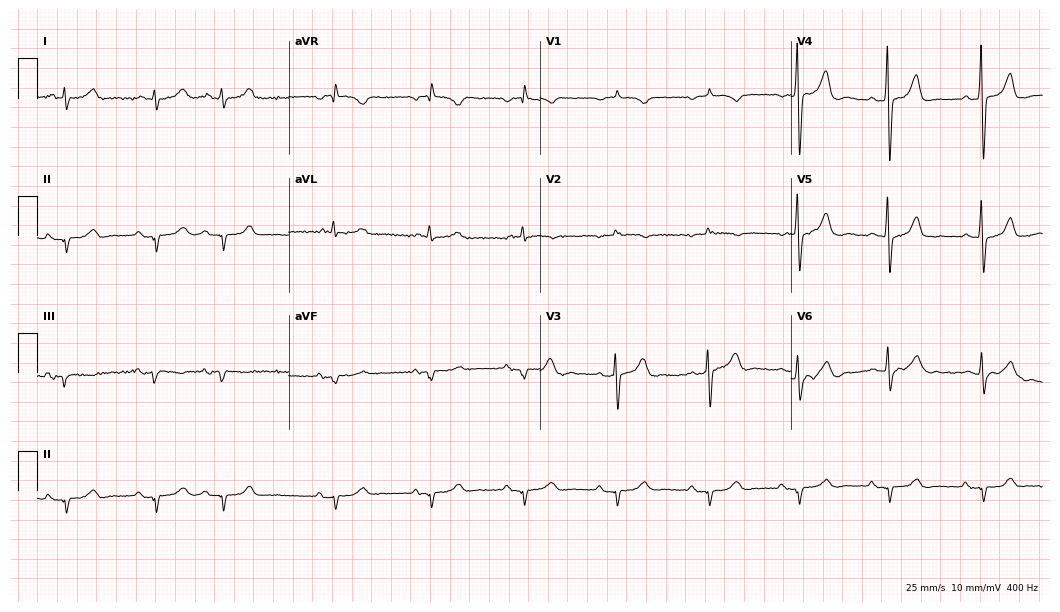
12-lead ECG from a man, 63 years old. No first-degree AV block, right bundle branch block, left bundle branch block, sinus bradycardia, atrial fibrillation or sinus tachycardia recorded for this tracing.